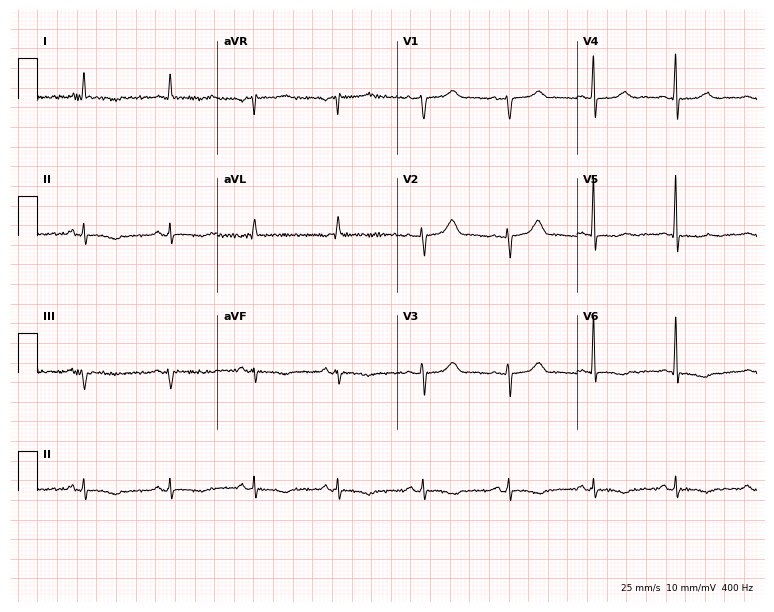
Electrocardiogram (7.3-second recording at 400 Hz), a 63-year-old woman. Of the six screened findings (first-degree AV block, right bundle branch block (RBBB), left bundle branch block (LBBB), sinus bradycardia, atrial fibrillation (AF), sinus tachycardia), none is recorded.